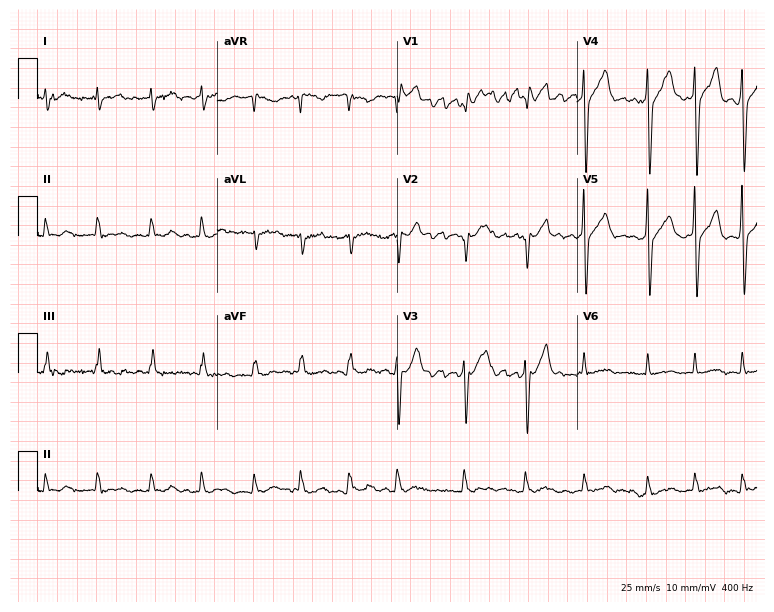
Resting 12-lead electrocardiogram. Patient: a 58-year-old man. The tracing shows atrial fibrillation (AF).